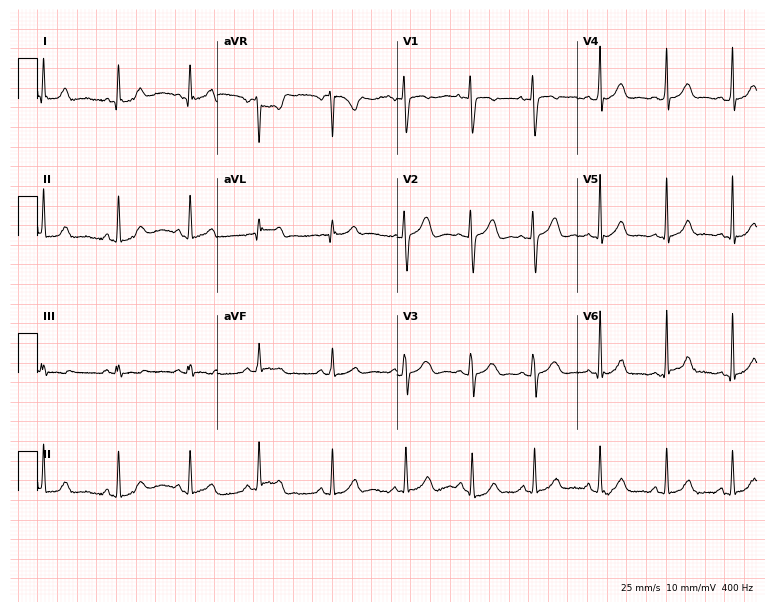
12-lead ECG from a female patient, 19 years old (7.3-second recording at 400 Hz). Recorded interpretation: within normal limits.